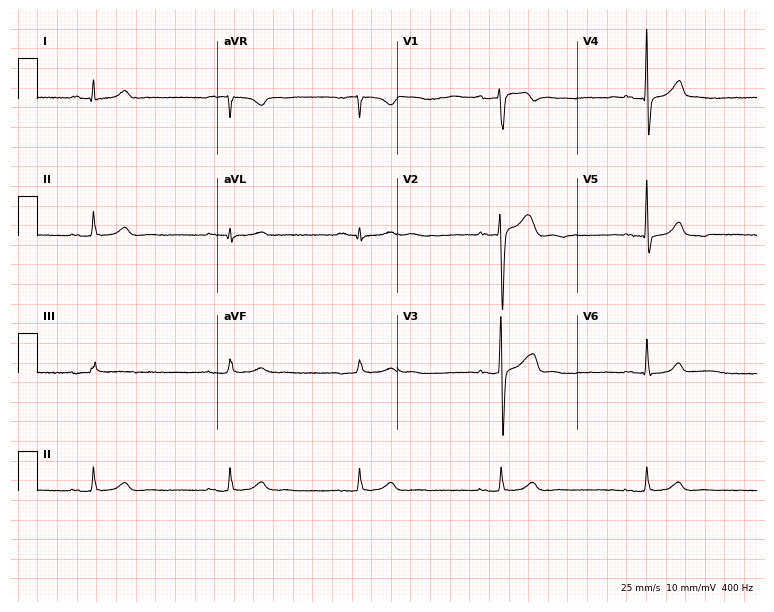
Standard 12-lead ECG recorded from a male patient, 35 years old. The tracing shows first-degree AV block, sinus bradycardia (a sinus rate of 50 beats per minute or less).